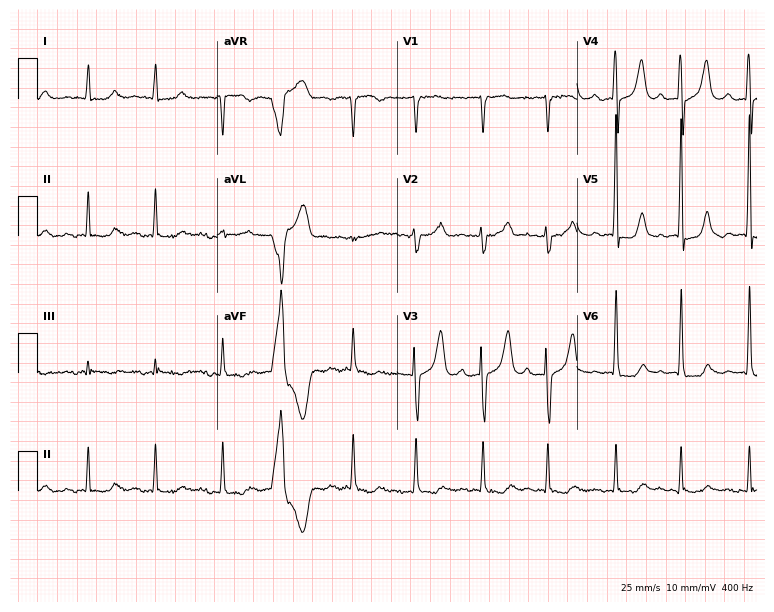
Electrocardiogram (7.3-second recording at 400 Hz), a 70-year-old male. Of the six screened findings (first-degree AV block, right bundle branch block, left bundle branch block, sinus bradycardia, atrial fibrillation, sinus tachycardia), none is recorded. Only these six findings were labelled.